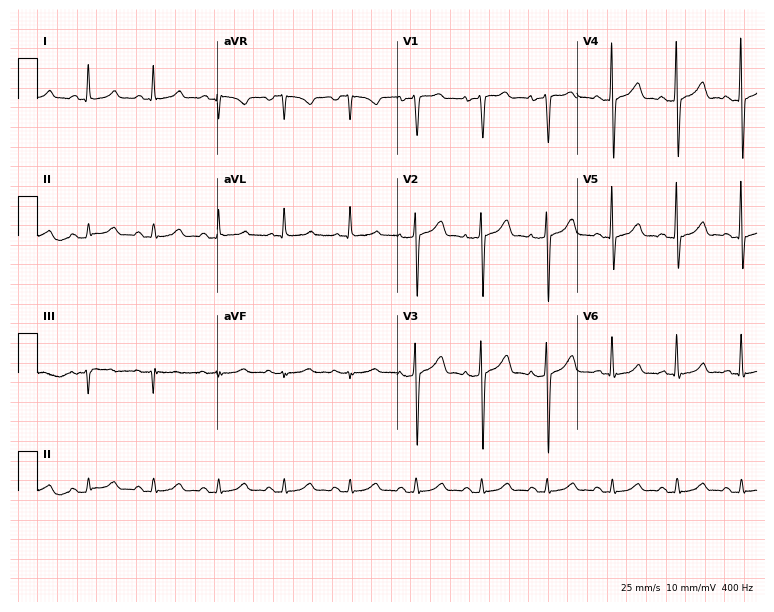
Electrocardiogram (7.3-second recording at 400 Hz), a 52-year-old woman. Of the six screened findings (first-degree AV block, right bundle branch block (RBBB), left bundle branch block (LBBB), sinus bradycardia, atrial fibrillation (AF), sinus tachycardia), none is recorded.